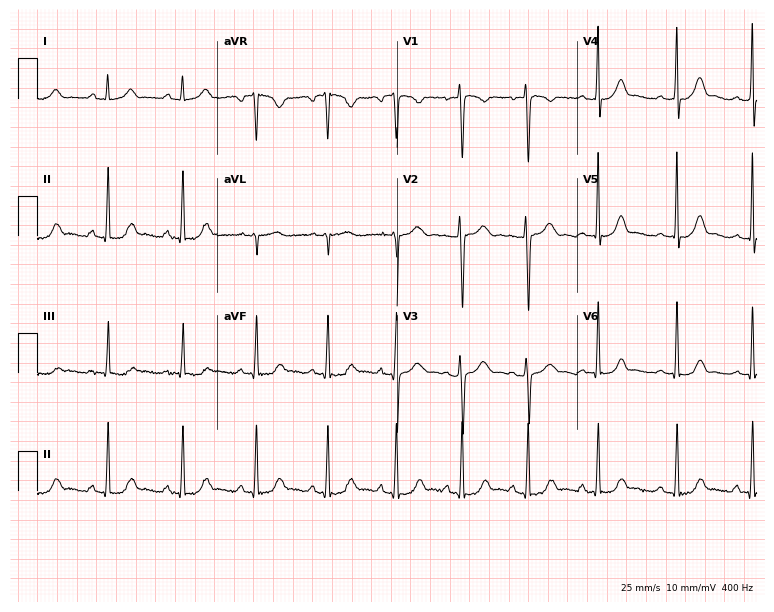
Resting 12-lead electrocardiogram. Patient: a female, 23 years old. Read as a normal ECG.